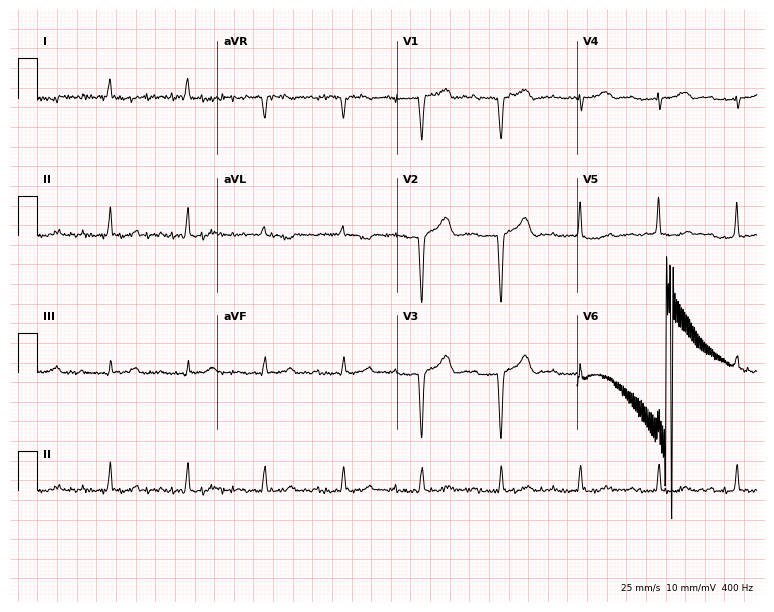
12-lead ECG (7.3-second recording at 400 Hz) from a male, 82 years old. Screened for six findings — first-degree AV block, right bundle branch block, left bundle branch block, sinus bradycardia, atrial fibrillation, sinus tachycardia — none is recorded.